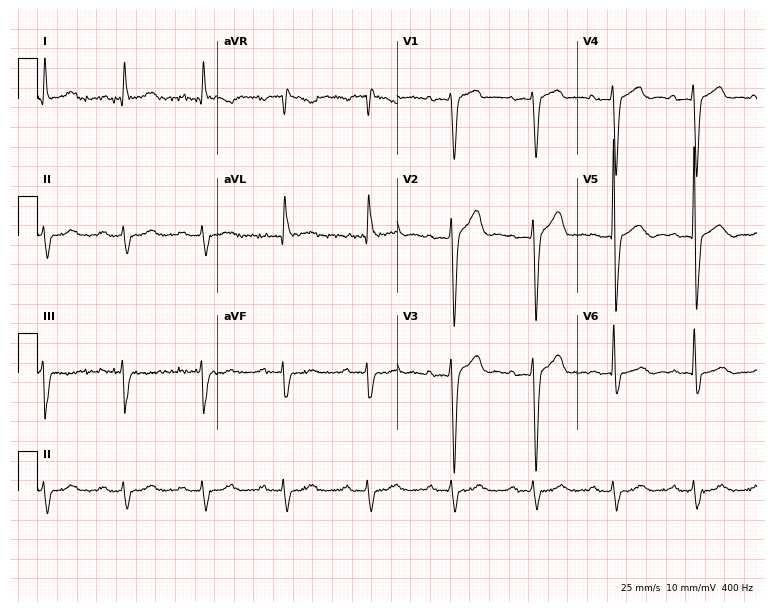
Standard 12-lead ECG recorded from a male, 81 years old. None of these six findings is recorded: first-degree AV block, right bundle branch block, left bundle branch block, sinus bradycardia, atrial fibrillation, sinus tachycardia. Only these six findings were labelled.